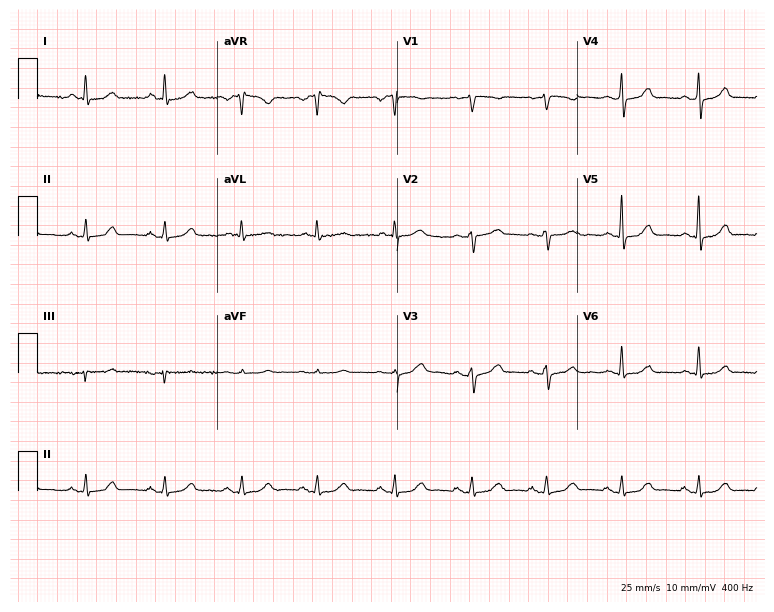
Electrocardiogram, a 65-year-old male patient. Overall reading on record: normal ECG.